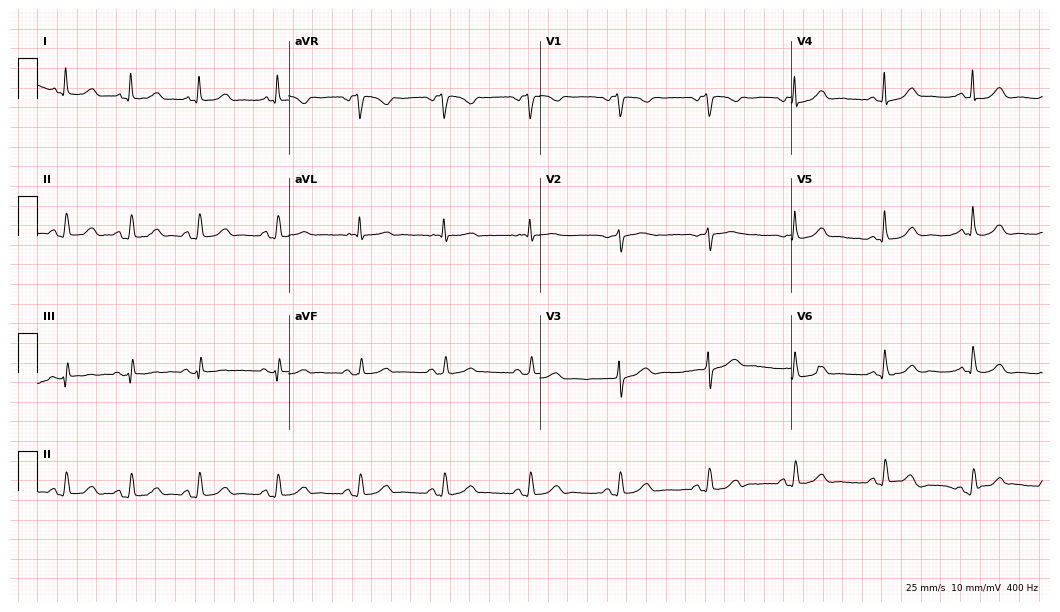
Resting 12-lead electrocardiogram. Patient: a woman, 63 years old. Read as a normal ECG.